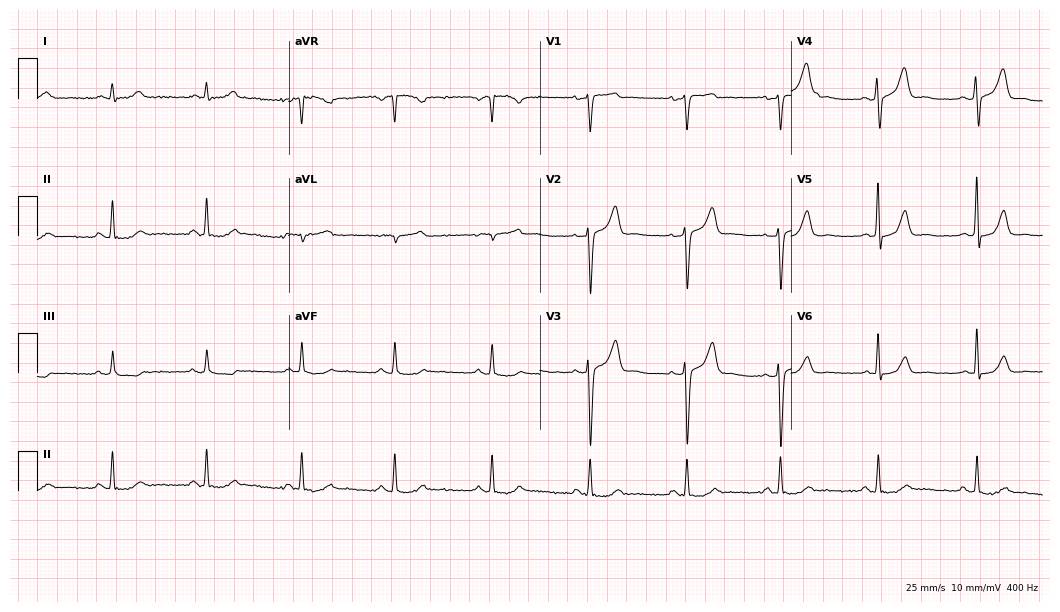
Electrocardiogram, a 62-year-old male. Overall reading on record: normal ECG.